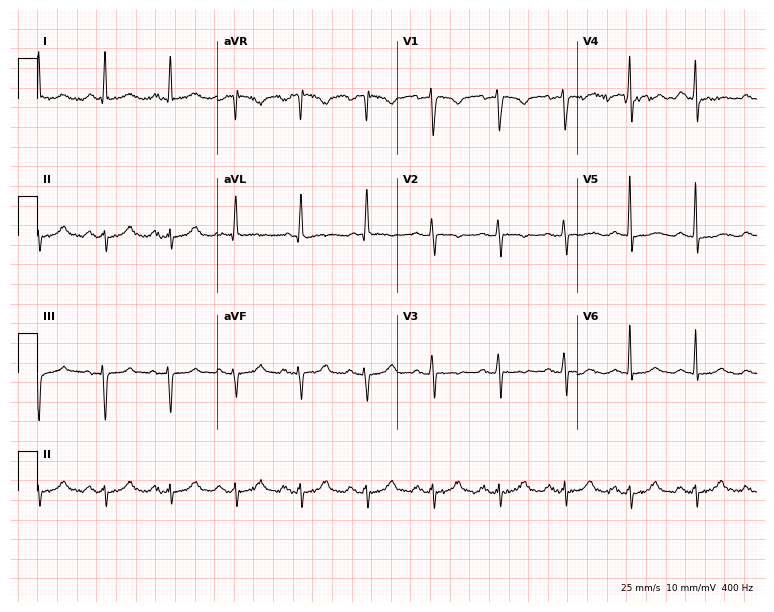
12-lead ECG from a woman, 63 years old. Screened for six findings — first-degree AV block, right bundle branch block, left bundle branch block, sinus bradycardia, atrial fibrillation, sinus tachycardia — none is recorded. Findings outside these six are not listed.